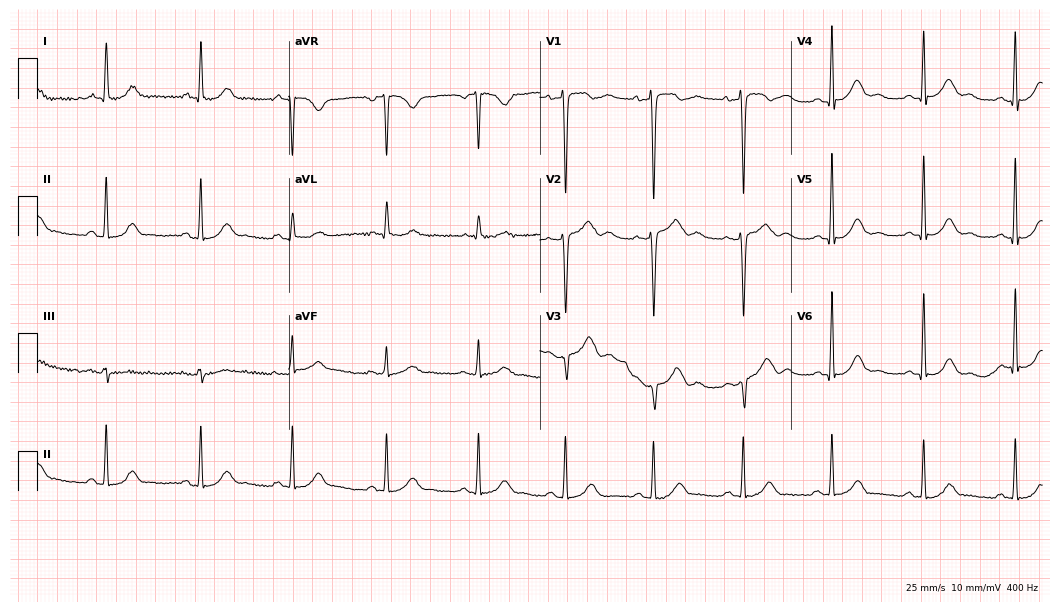
ECG — a woman, 39 years old. Screened for six findings — first-degree AV block, right bundle branch block (RBBB), left bundle branch block (LBBB), sinus bradycardia, atrial fibrillation (AF), sinus tachycardia — none is recorded.